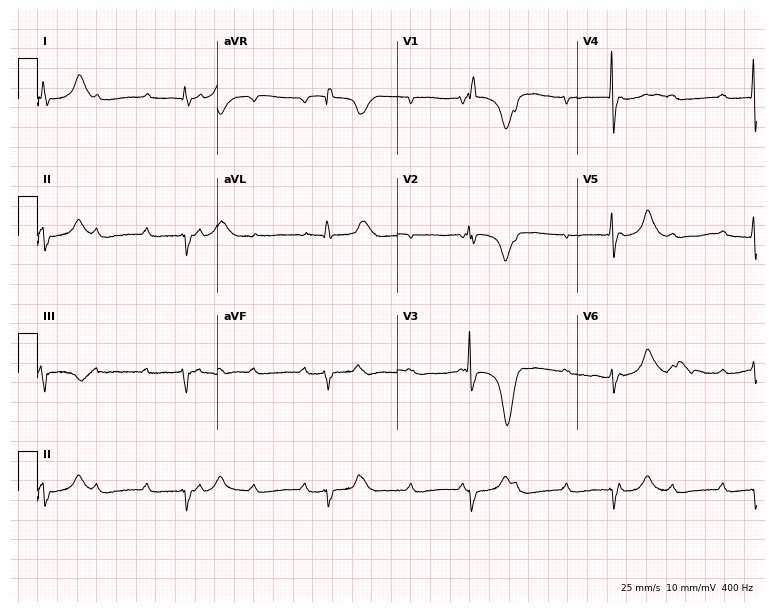
Electrocardiogram, a female patient, 70 years old. Of the six screened findings (first-degree AV block, right bundle branch block (RBBB), left bundle branch block (LBBB), sinus bradycardia, atrial fibrillation (AF), sinus tachycardia), none is recorded.